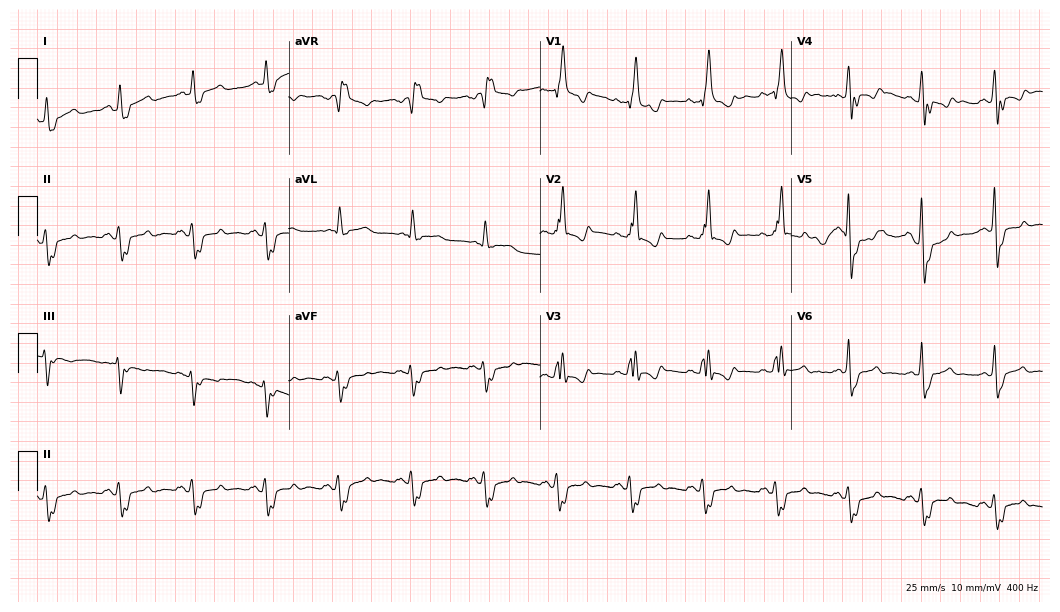
12-lead ECG from a 43-year-old male patient (10.2-second recording at 400 Hz). No first-degree AV block, right bundle branch block (RBBB), left bundle branch block (LBBB), sinus bradycardia, atrial fibrillation (AF) or sinus tachycardia recorded for this tracing. Only these six findings were labelled.